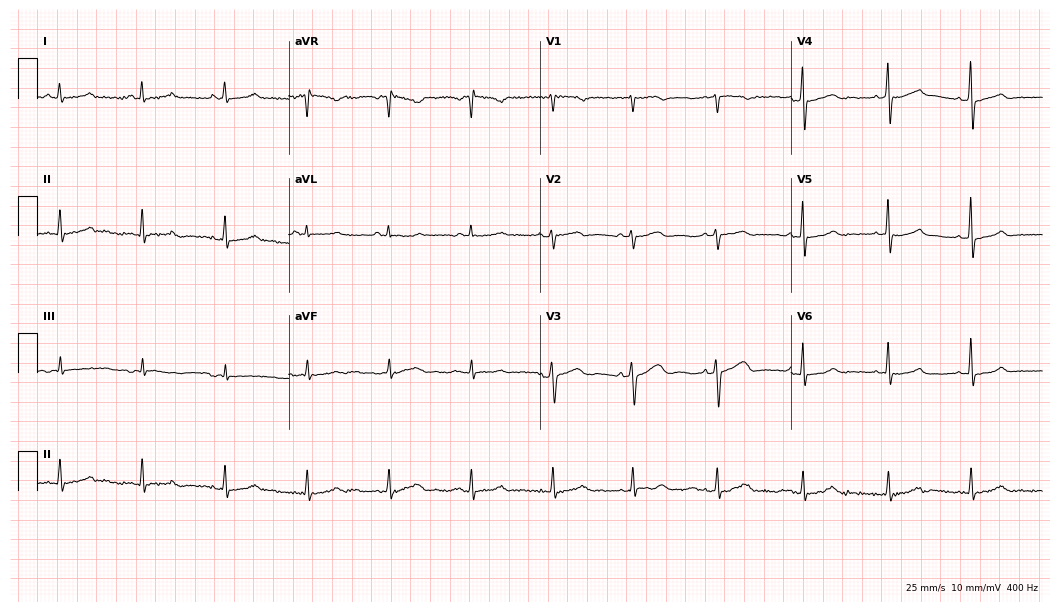
ECG — a woman, 53 years old. Labelled as a normal ECG.